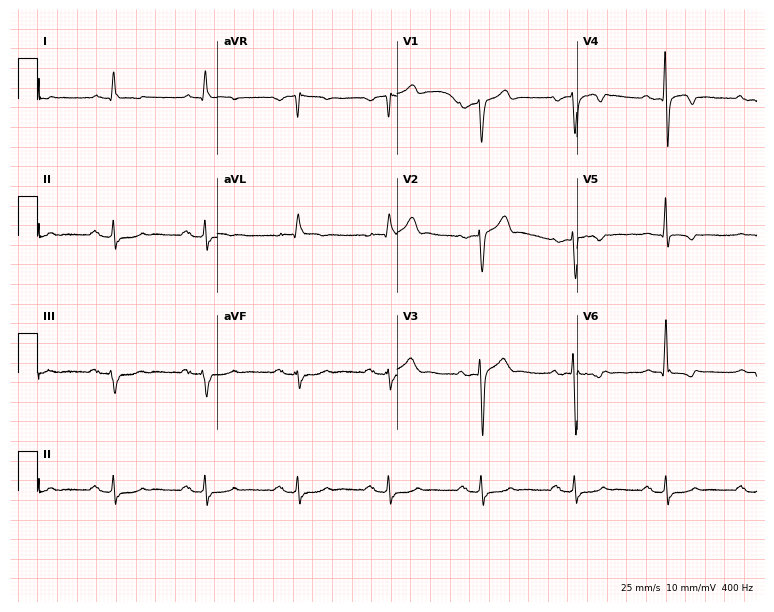
Standard 12-lead ECG recorded from a male, 81 years old (7.3-second recording at 400 Hz). None of these six findings is recorded: first-degree AV block, right bundle branch block, left bundle branch block, sinus bradycardia, atrial fibrillation, sinus tachycardia.